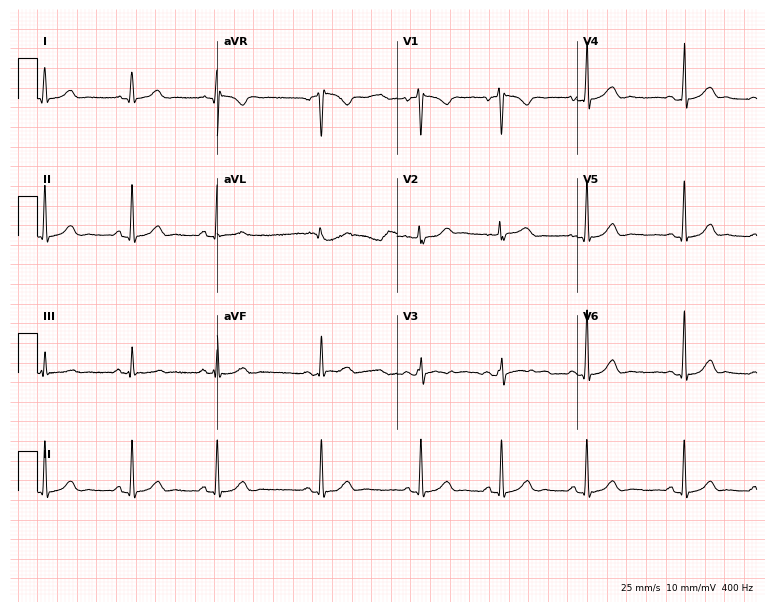
Resting 12-lead electrocardiogram (7.3-second recording at 400 Hz). Patient: a 21-year-old woman. Read as a normal ECG.